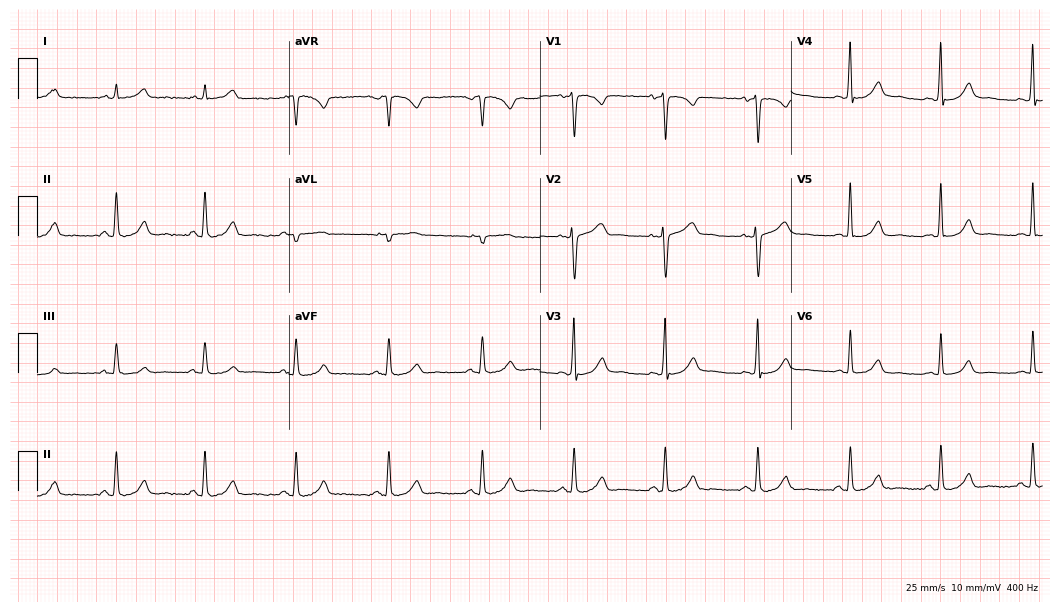
Standard 12-lead ECG recorded from a female patient, 35 years old. Read as a normal ECG.